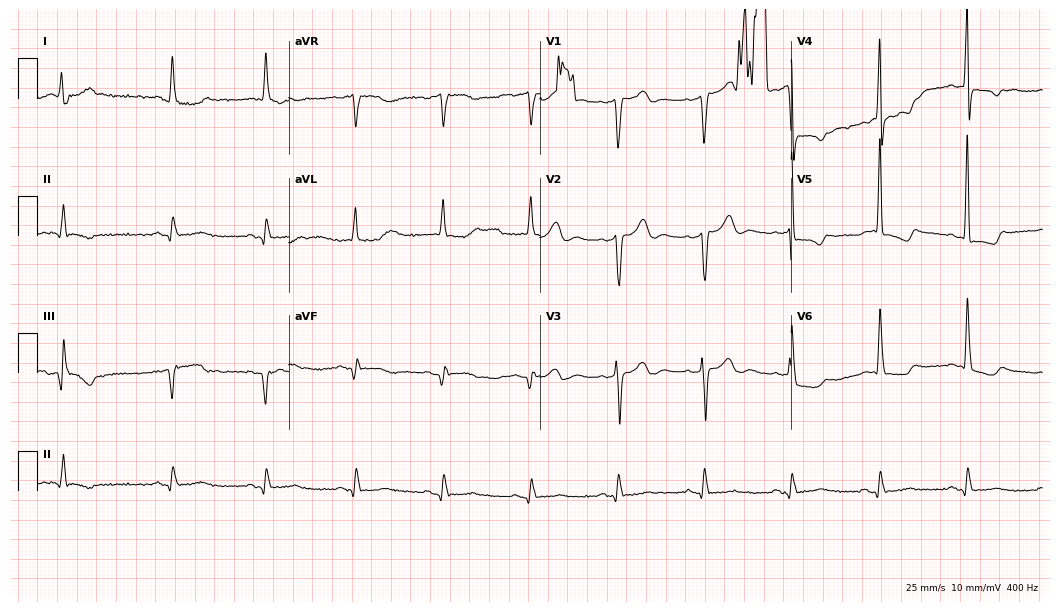
Electrocardiogram, a man, 84 years old. Of the six screened findings (first-degree AV block, right bundle branch block (RBBB), left bundle branch block (LBBB), sinus bradycardia, atrial fibrillation (AF), sinus tachycardia), none is recorded. Findings outside these six are not listed.